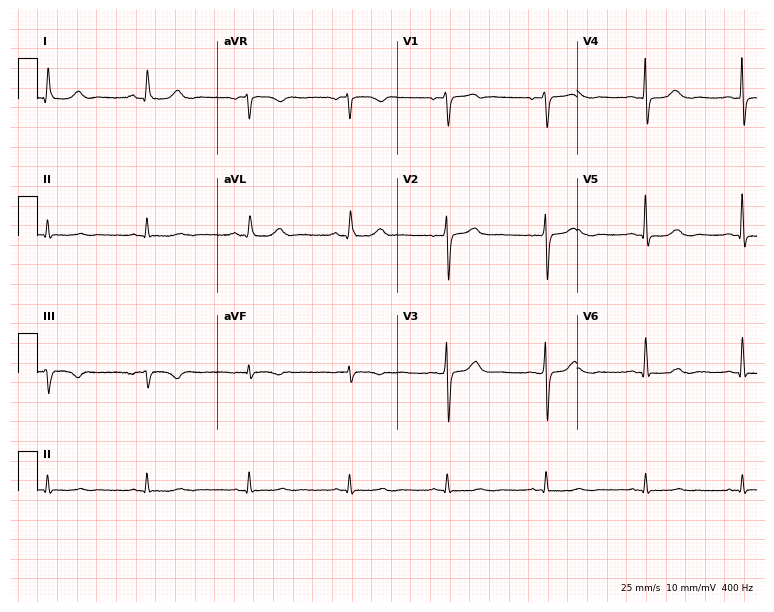
Electrocardiogram, a 77-year-old male. Of the six screened findings (first-degree AV block, right bundle branch block, left bundle branch block, sinus bradycardia, atrial fibrillation, sinus tachycardia), none is recorded. Only these six findings were labelled.